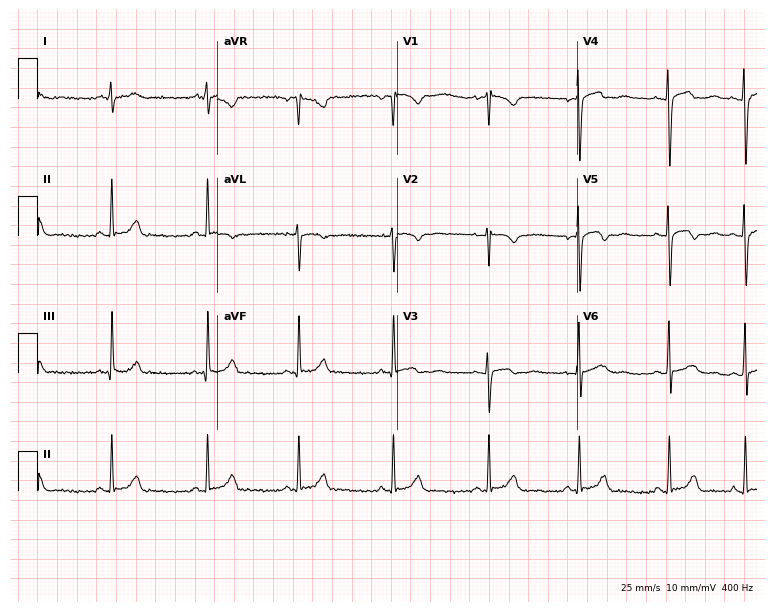
12-lead ECG from a 20-year-old female (7.3-second recording at 400 Hz). No first-degree AV block, right bundle branch block (RBBB), left bundle branch block (LBBB), sinus bradycardia, atrial fibrillation (AF) or sinus tachycardia recorded for this tracing. Findings outside these six are not listed.